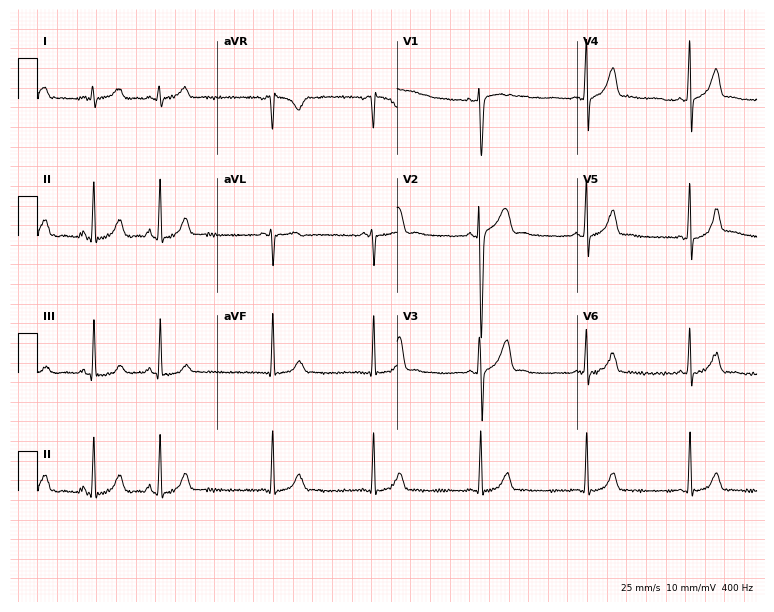
12-lead ECG from an 18-year-old female. Labelled as a normal ECG.